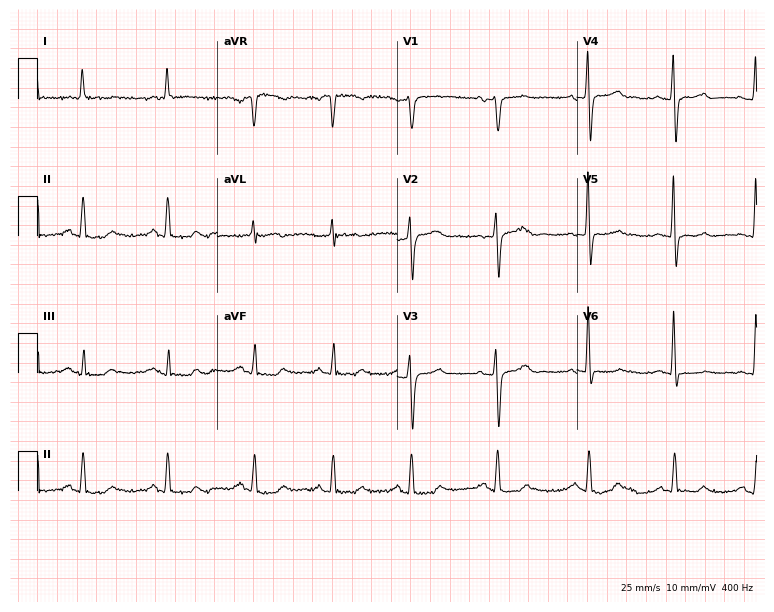
Electrocardiogram, a female patient, 71 years old. Of the six screened findings (first-degree AV block, right bundle branch block (RBBB), left bundle branch block (LBBB), sinus bradycardia, atrial fibrillation (AF), sinus tachycardia), none is recorded.